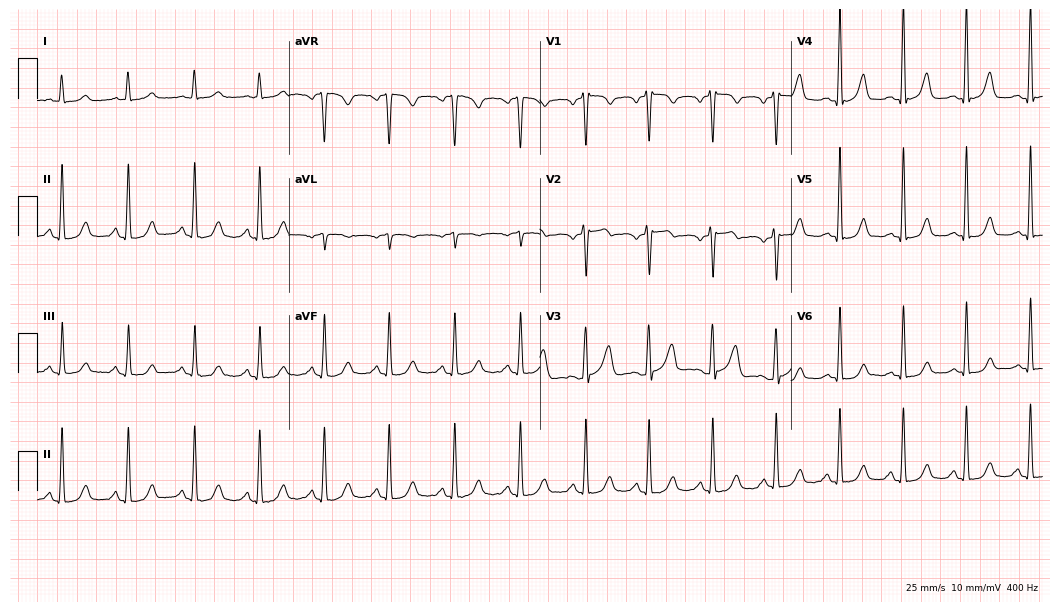
Electrocardiogram, a female patient, 47 years old. Of the six screened findings (first-degree AV block, right bundle branch block, left bundle branch block, sinus bradycardia, atrial fibrillation, sinus tachycardia), none is recorded.